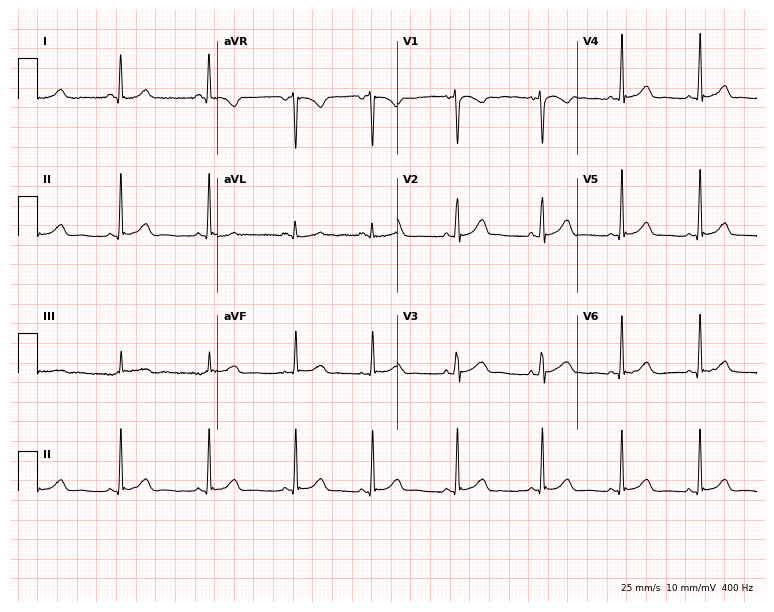
12-lead ECG (7.3-second recording at 400 Hz) from a female, 19 years old. Labelled as a normal ECG.